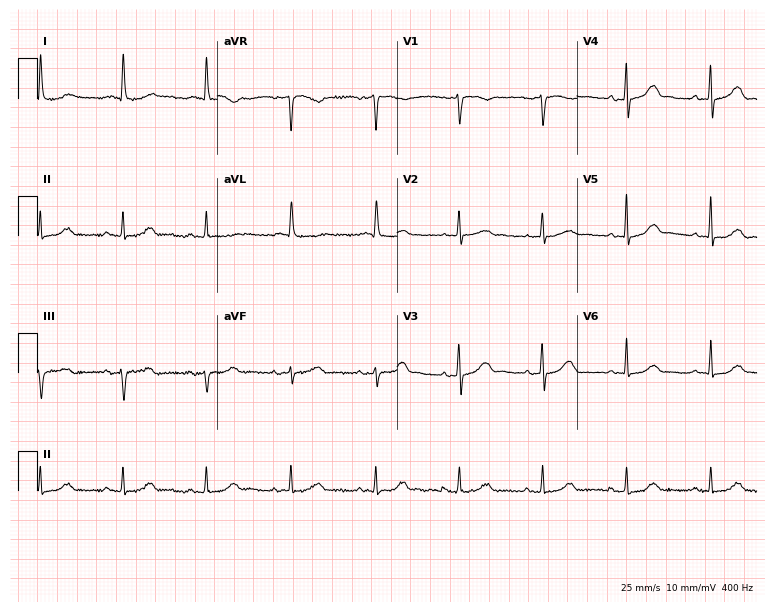
Resting 12-lead electrocardiogram (7.3-second recording at 400 Hz). Patient: a 77-year-old woman. Read as a normal ECG.